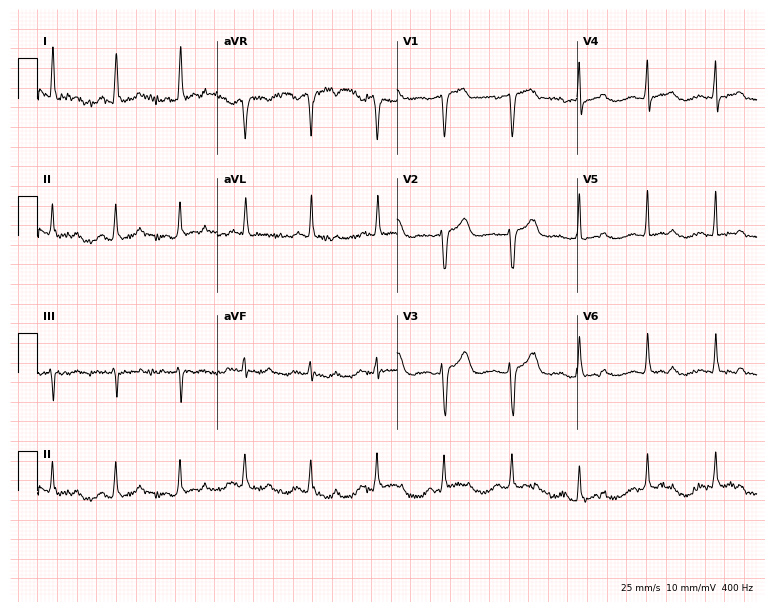
Standard 12-lead ECG recorded from a 58-year-old female (7.3-second recording at 400 Hz). Read as a normal ECG.